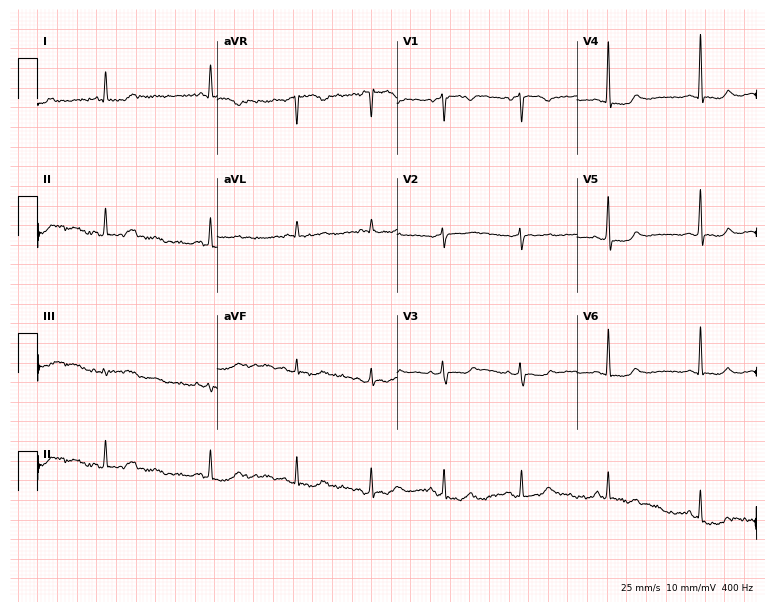
ECG (7.3-second recording at 400 Hz) — a 60-year-old woman. Screened for six findings — first-degree AV block, right bundle branch block, left bundle branch block, sinus bradycardia, atrial fibrillation, sinus tachycardia — none is recorded. Other findings, if any, are not listed.